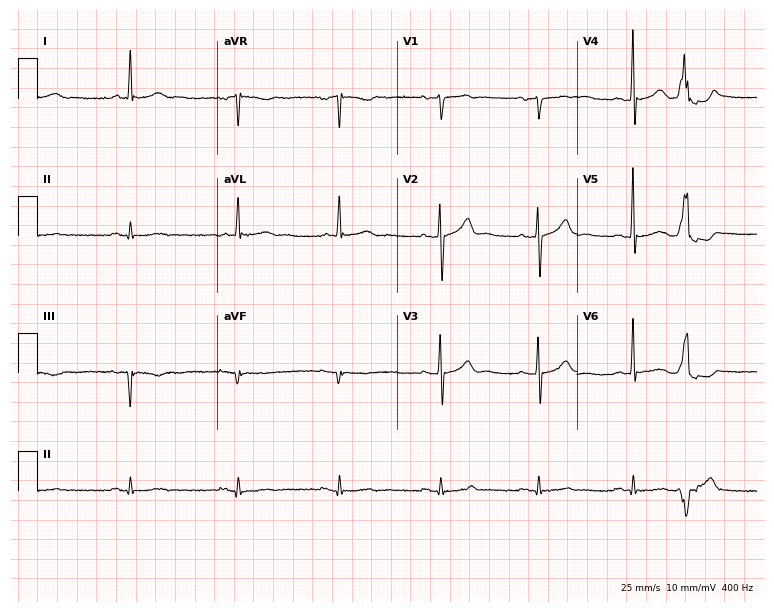
Electrocardiogram, a man, 68 years old. Of the six screened findings (first-degree AV block, right bundle branch block, left bundle branch block, sinus bradycardia, atrial fibrillation, sinus tachycardia), none is recorded.